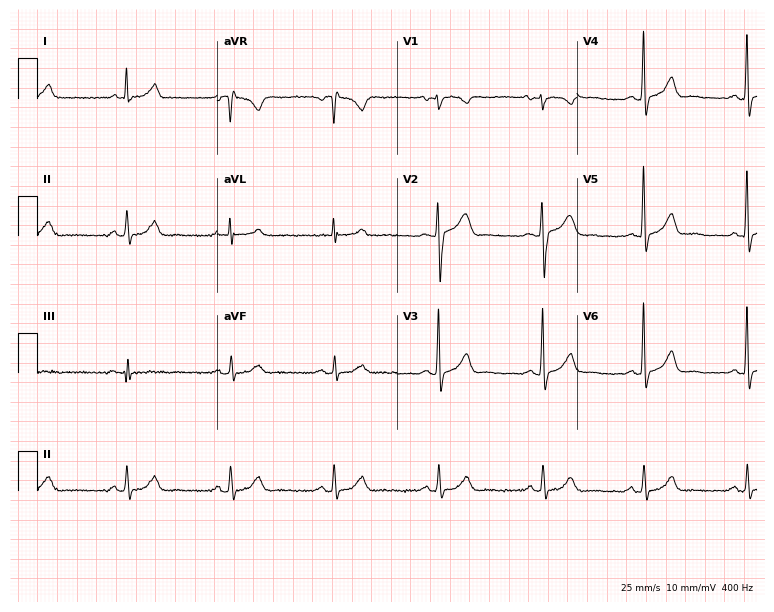
12-lead ECG from a male patient, 52 years old (7.3-second recording at 400 Hz). No first-degree AV block, right bundle branch block (RBBB), left bundle branch block (LBBB), sinus bradycardia, atrial fibrillation (AF) or sinus tachycardia recorded for this tracing.